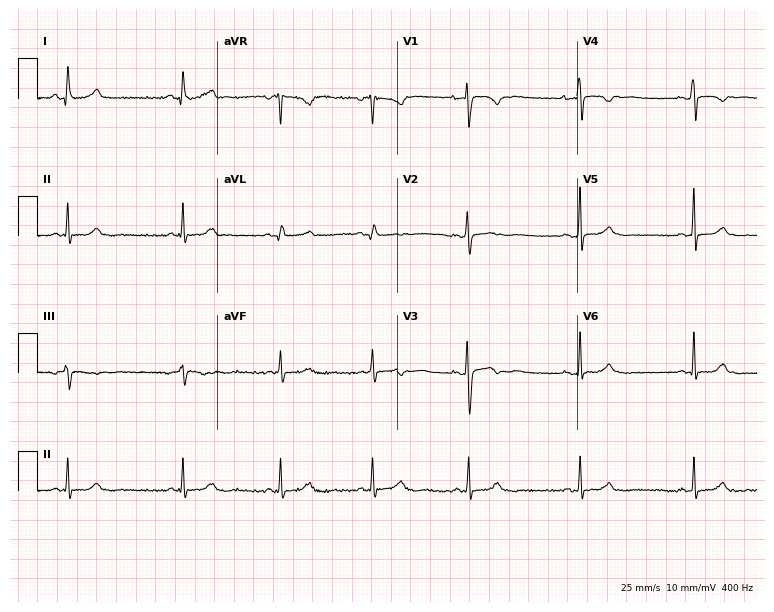
Standard 12-lead ECG recorded from a 27-year-old female (7.3-second recording at 400 Hz). None of these six findings is recorded: first-degree AV block, right bundle branch block (RBBB), left bundle branch block (LBBB), sinus bradycardia, atrial fibrillation (AF), sinus tachycardia.